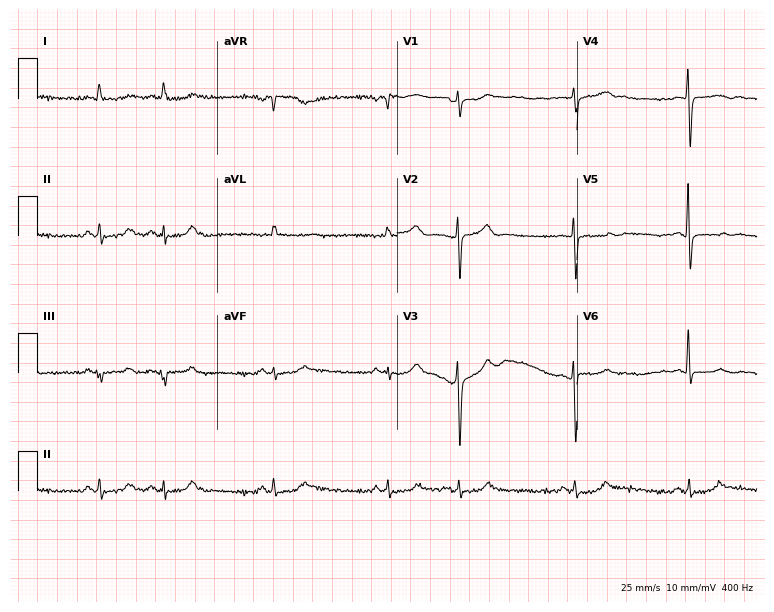
Standard 12-lead ECG recorded from a 69-year-old male patient. None of these six findings is recorded: first-degree AV block, right bundle branch block (RBBB), left bundle branch block (LBBB), sinus bradycardia, atrial fibrillation (AF), sinus tachycardia.